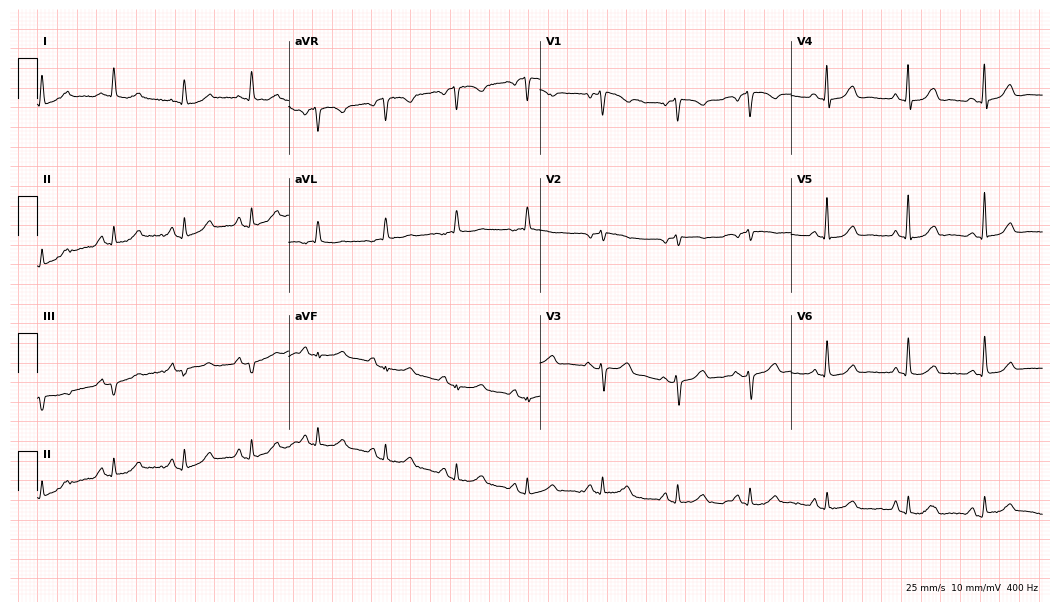
ECG — a female, 79 years old. Screened for six findings — first-degree AV block, right bundle branch block, left bundle branch block, sinus bradycardia, atrial fibrillation, sinus tachycardia — none is recorded. Other findings, if any, are not listed.